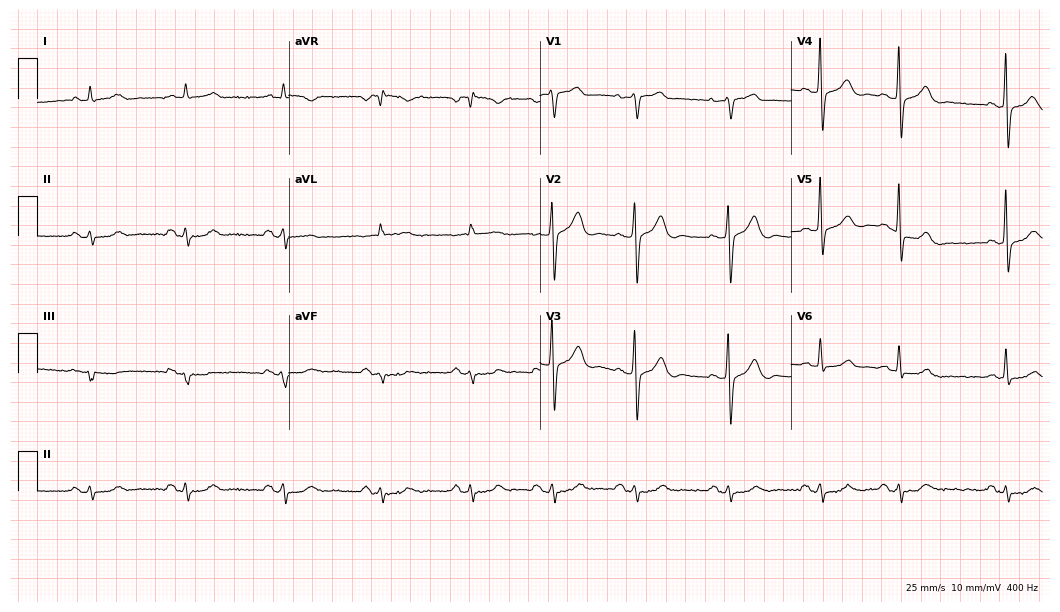
Standard 12-lead ECG recorded from a man, 83 years old (10.2-second recording at 400 Hz). None of these six findings is recorded: first-degree AV block, right bundle branch block (RBBB), left bundle branch block (LBBB), sinus bradycardia, atrial fibrillation (AF), sinus tachycardia.